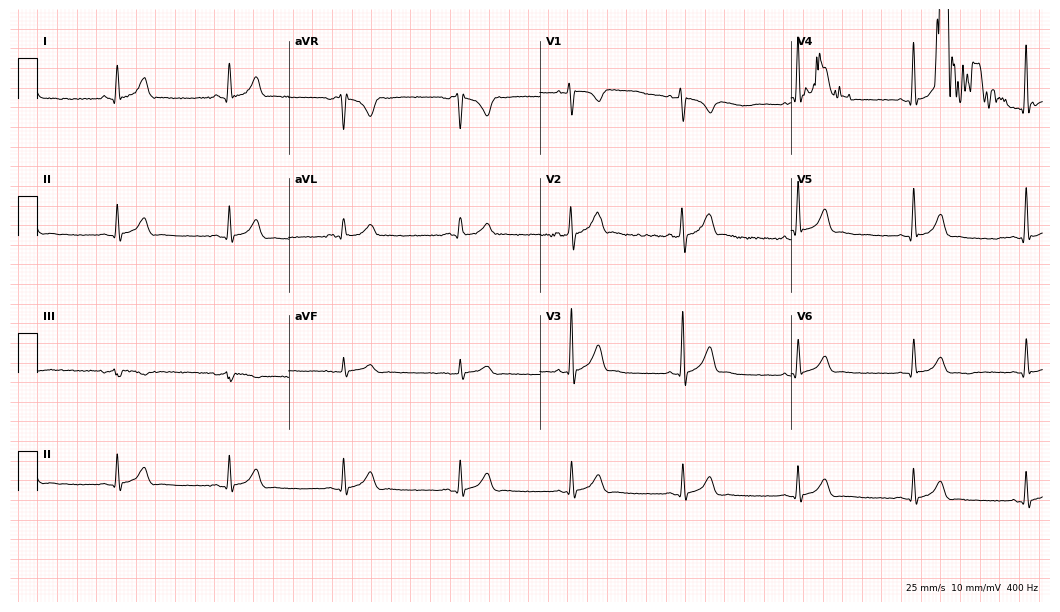
ECG — a male patient, 19 years old. Screened for six findings — first-degree AV block, right bundle branch block (RBBB), left bundle branch block (LBBB), sinus bradycardia, atrial fibrillation (AF), sinus tachycardia — none is recorded.